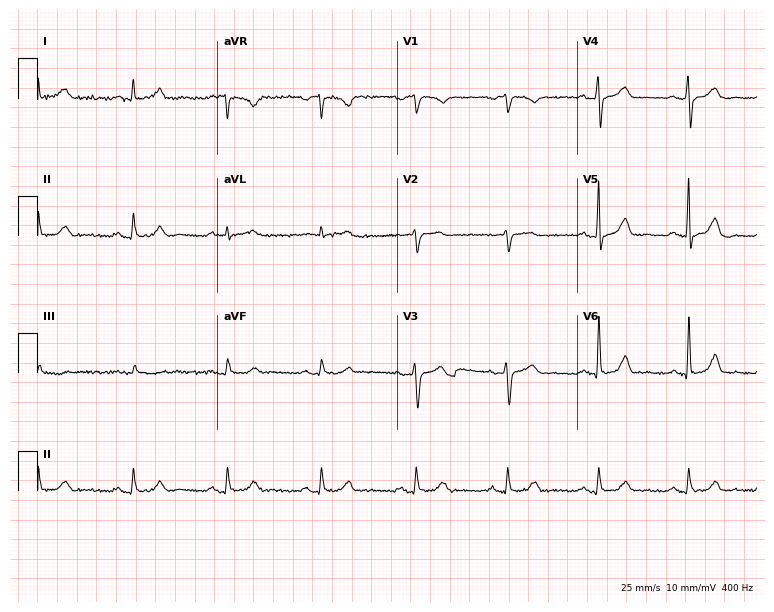
Standard 12-lead ECG recorded from a man, 59 years old (7.3-second recording at 400 Hz). None of these six findings is recorded: first-degree AV block, right bundle branch block, left bundle branch block, sinus bradycardia, atrial fibrillation, sinus tachycardia.